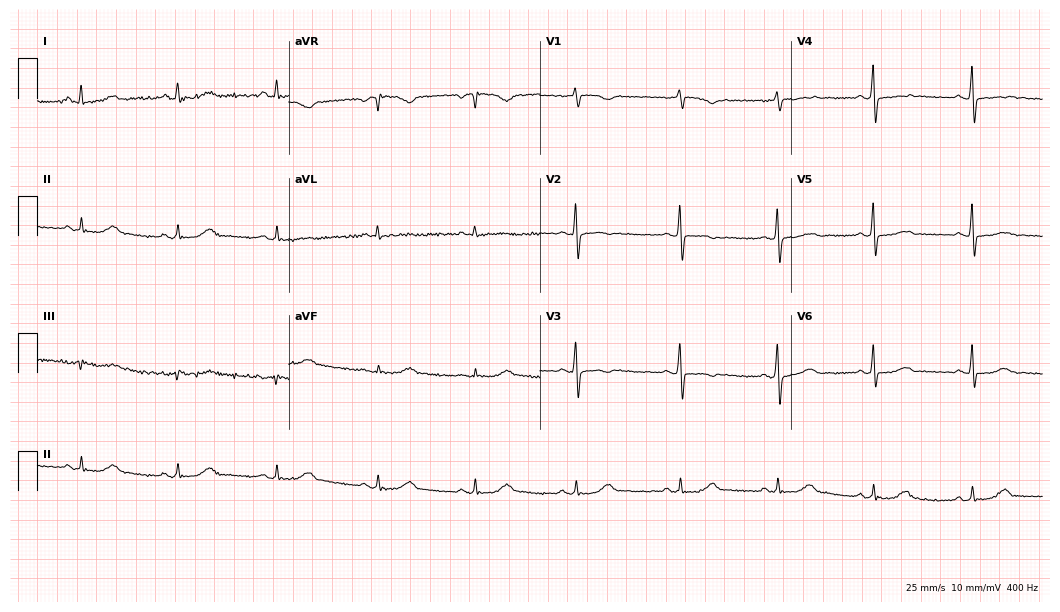
12-lead ECG from a 44-year-old female. Labelled as a normal ECG.